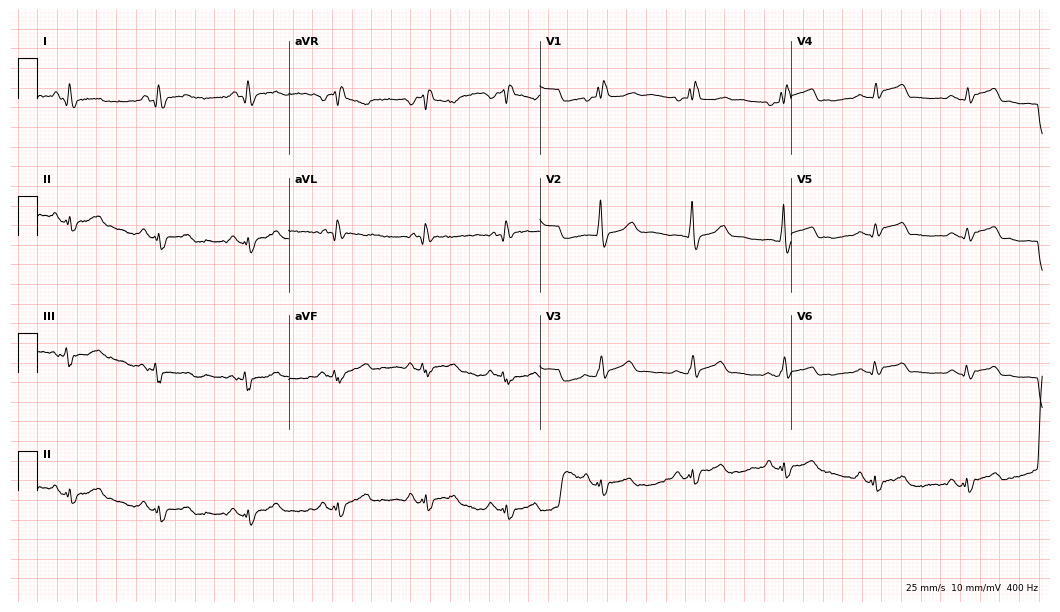
Standard 12-lead ECG recorded from a female patient, 77 years old (10.2-second recording at 400 Hz). None of these six findings is recorded: first-degree AV block, right bundle branch block (RBBB), left bundle branch block (LBBB), sinus bradycardia, atrial fibrillation (AF), sinus tachycardia. Only these six findings were labelled.